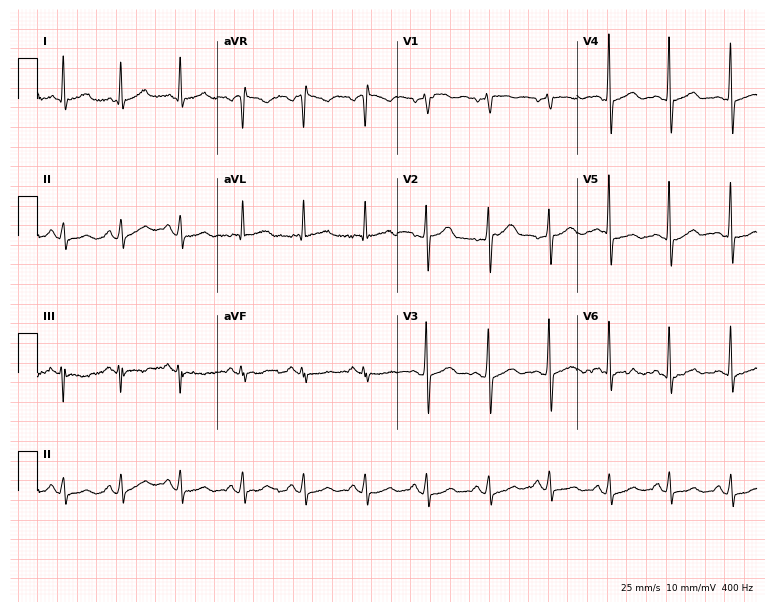
12-lead ECG (7.3-second recording at 400 Hz) from a female patient, 53 years old. Screened for six findings — first-degree AV block, right bundle branch block, left bundle branch block, sinus bradycardia, atrial fibrillation, sinus tachycardia — none is recorded.